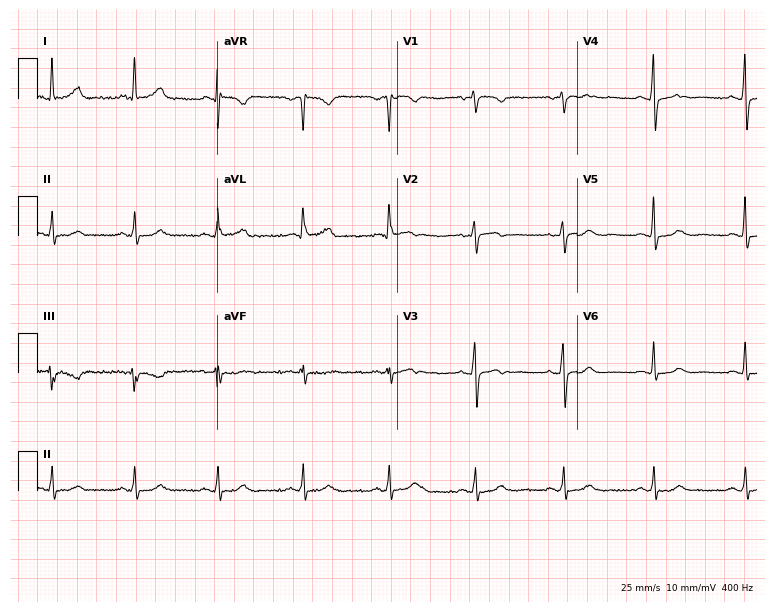
12-lead ECG from a female patient, 60 years old. No first-degree AV block, right bundle branch block (RBBB), left bundle branch block (LBBB), sinus bradycardia, atrial fibrillation (AF) or sinus tachycardia recorded for this tracing. Findings outside these six are not listed.